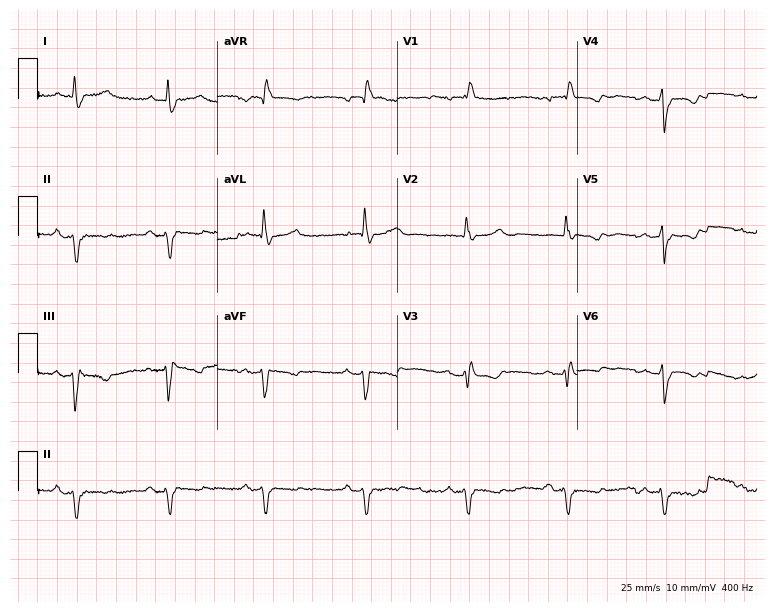
Standard 12-lead ECG recorded from a female patient, 73 years old (7.3-second recording at 400 Hz). The tracing shows right bundle branch block (RBBB).